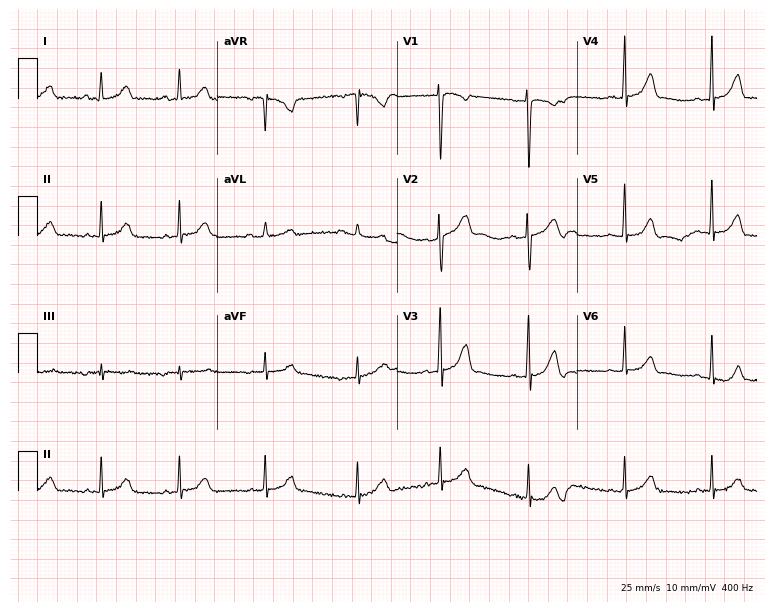
Standard 12-lead ECG recorded from a female, 25 years old (7.3-second recording at 400 Hz). None of these six findings is recorded: first-degree AV block, right bundle branch block, left bundle branch block, sinus bradycardia, atrial fibrillation, sinus tachycardia.